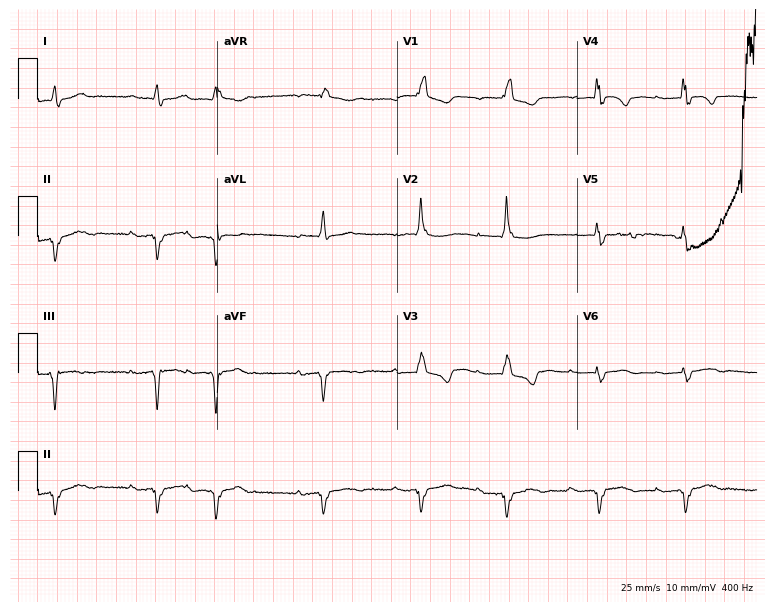
ECG — an 83-year-old man. Findings include first-degree AV block, right bundle branch block.